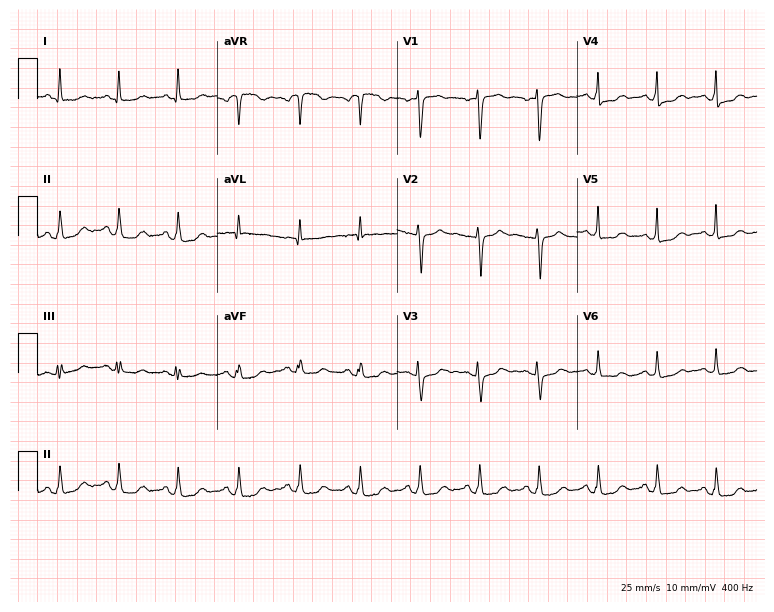
Resting 12-lead electrocardiogram (7.3-second recording at 400 Hz). Patient: a woman, 59 years old. None of these six findings is recorded: first-degree AV block, right bundle branch block, left bundle branch block, sinus bradycardia, atrial fibrillation, sinus tachycardia.